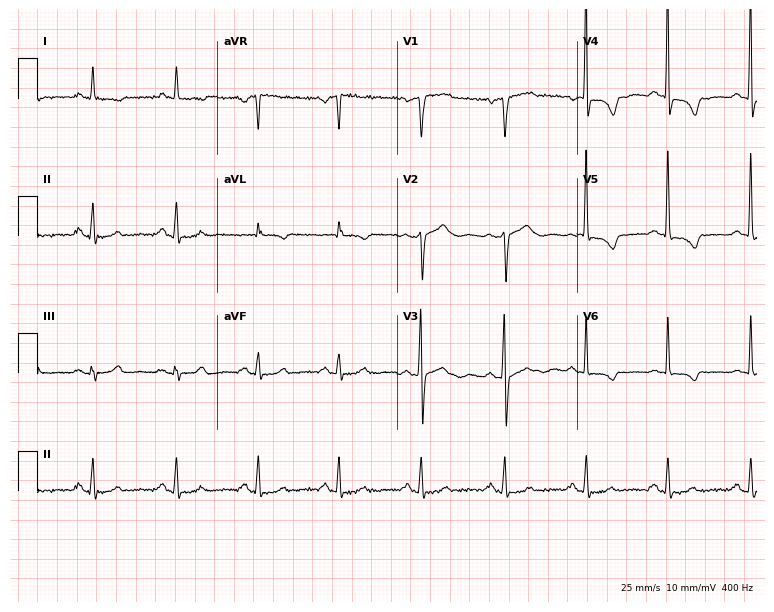
12-lead ECG from a 55-year-old woman. No first-degree AV block, right bundle branch block (RBBB), left bundle branch block (LBBB), sinus bradycardia, atrial fibrillation (AF) or sinus tachycardia recorded for this tracing.